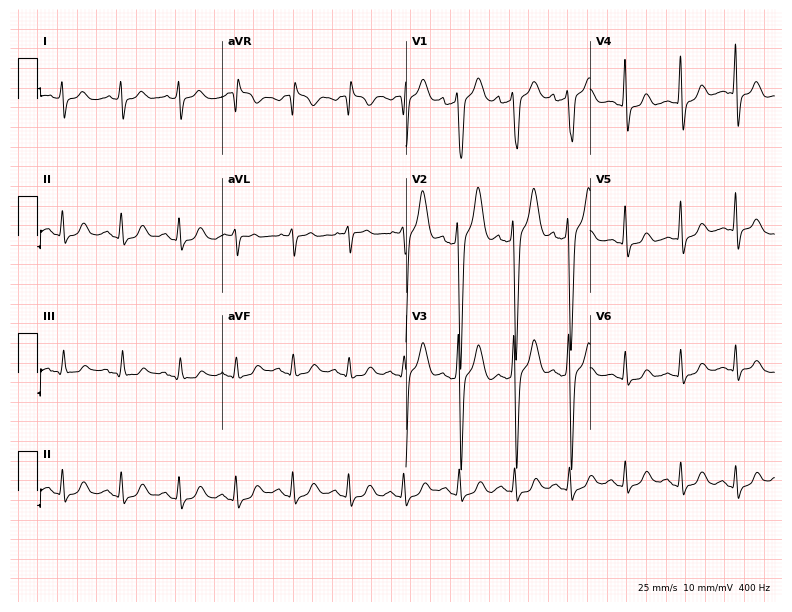
Standard 12-lead ECG recorded from a male patient, 33 years old (7.5-second recording at 400 Hz). The tracing shows sinus tachycardia (a sinus rate of 100 beats per minute or more).